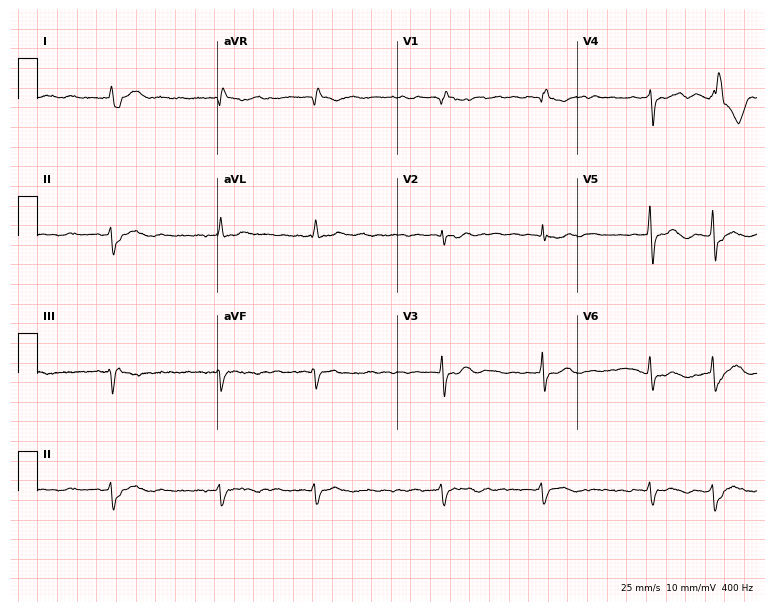
Electrocardiogram (7.3-second recording at 400 Hz), a woman, 79 years old. Interpretation includes atrial fibrillation (AF).